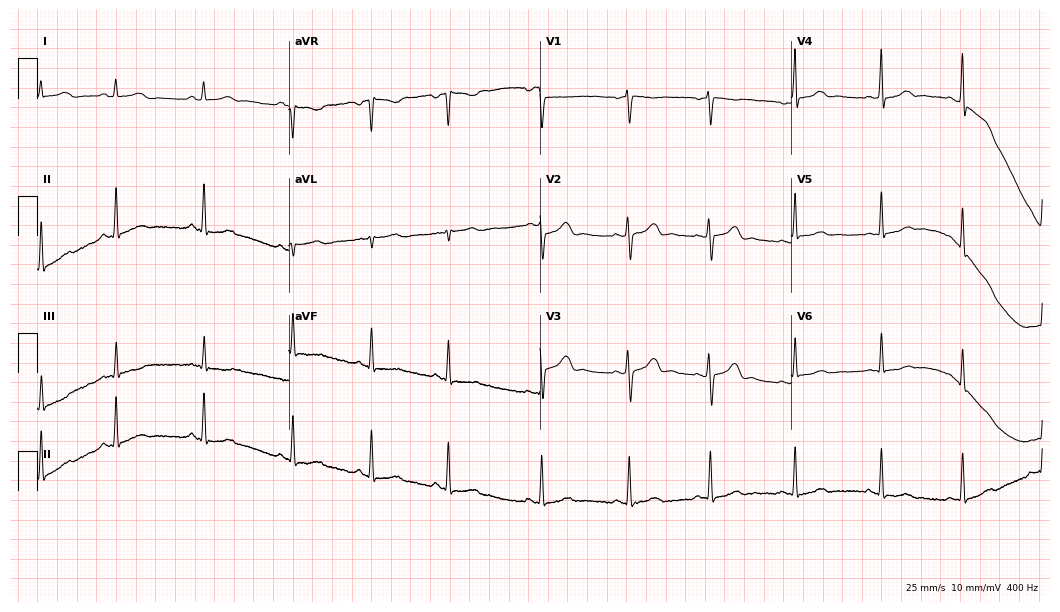
12-lead ECG from a 21-year-old female patient. Recorded interpretation: within normal limits.